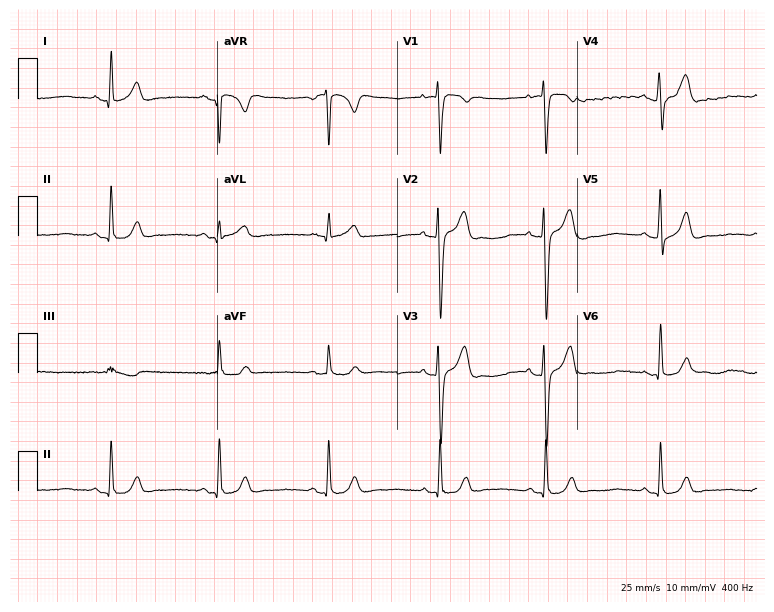
Resting 12-lead electrocardiogram. Patient: a male, 31 years old. Read as a normal ECG.